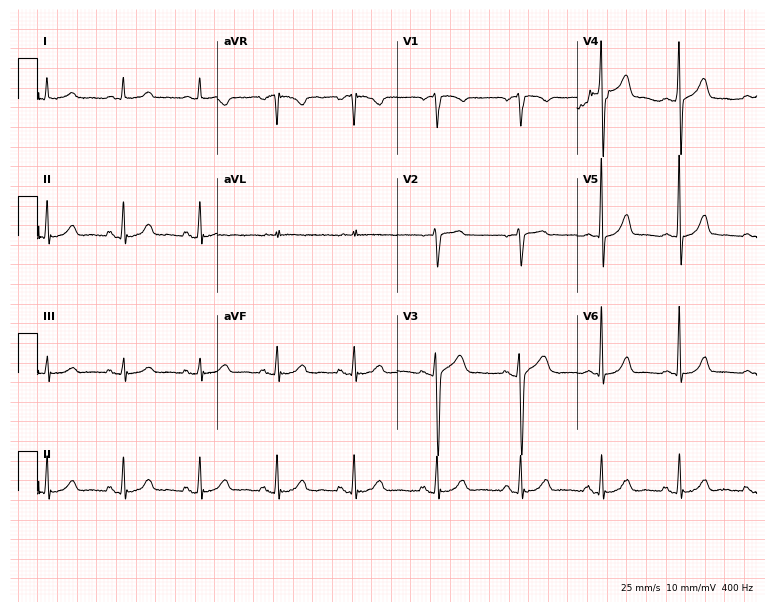
ECG (7.3-second recording at 400 Hz) — a woman, 73 years old. Labelled as a normal ECG.